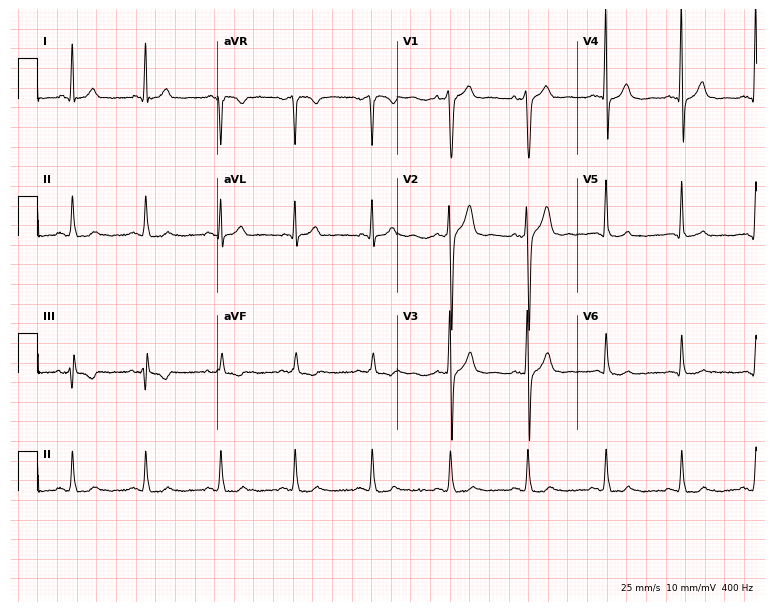
12-lead ECG from a 28-year-old male. Labelled as a normal ECG.